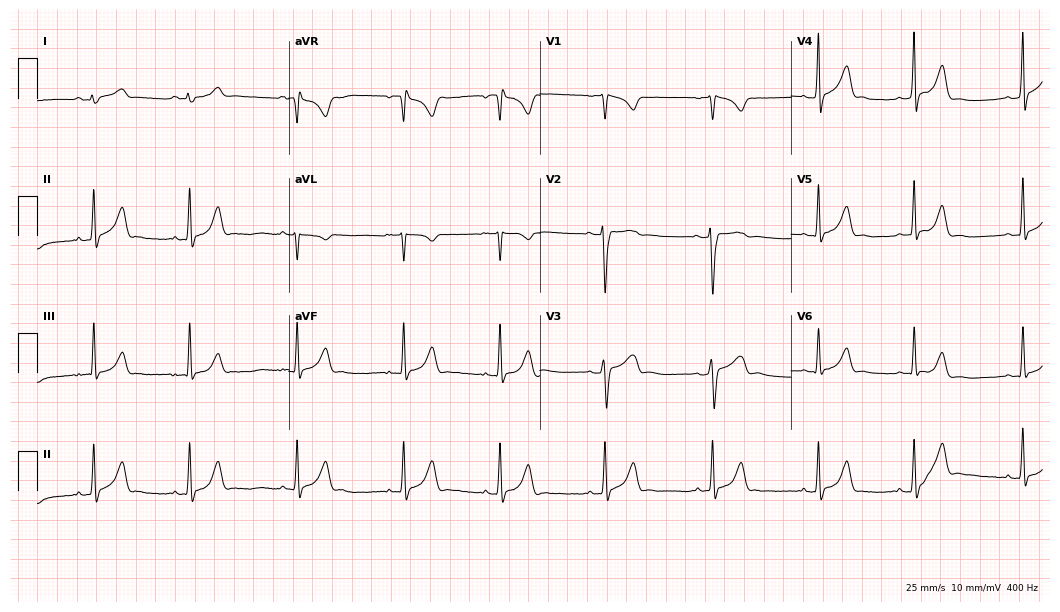
12-lead ECG from a 19-year-old female. Recorded interpretation: within normal limits.